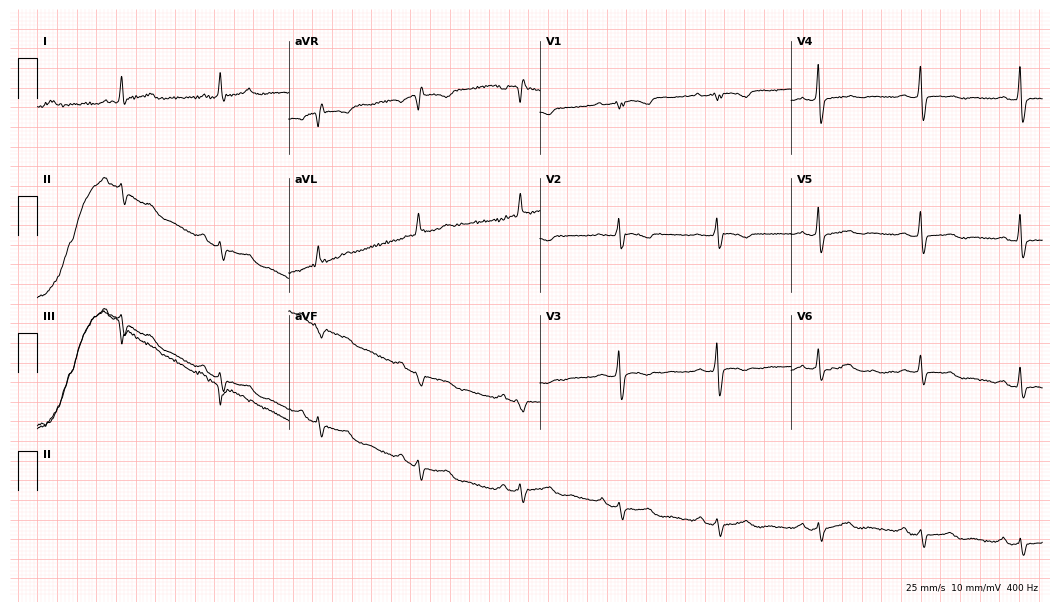
12-lead ECG from a female patient, 66 years old (10.2-second recording at 400 Hz). No first-degree AV block, right bundle branch block (RBBB), left bundle branch block (LBBB), sinus bradycardia, atrial fibrillation (AF) or sinus tachycardia recorded for this tracing. Other findings, if any, are not listed.